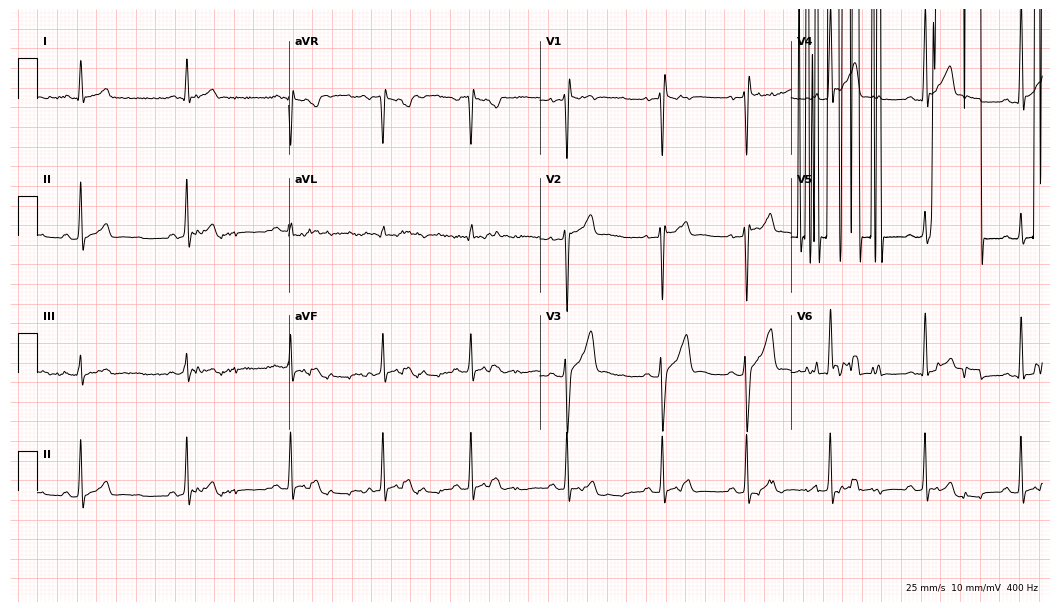
Resting 12-lead electrocardiogram (10.2-second recording at 400 Hz). Patient: a male, 21 years old. None of these six findings is recorded: first-degree AV block, right bundle branch block, left bundle branch block, sinus bradycardia, atrial fibrillation, sinus tachycardia.